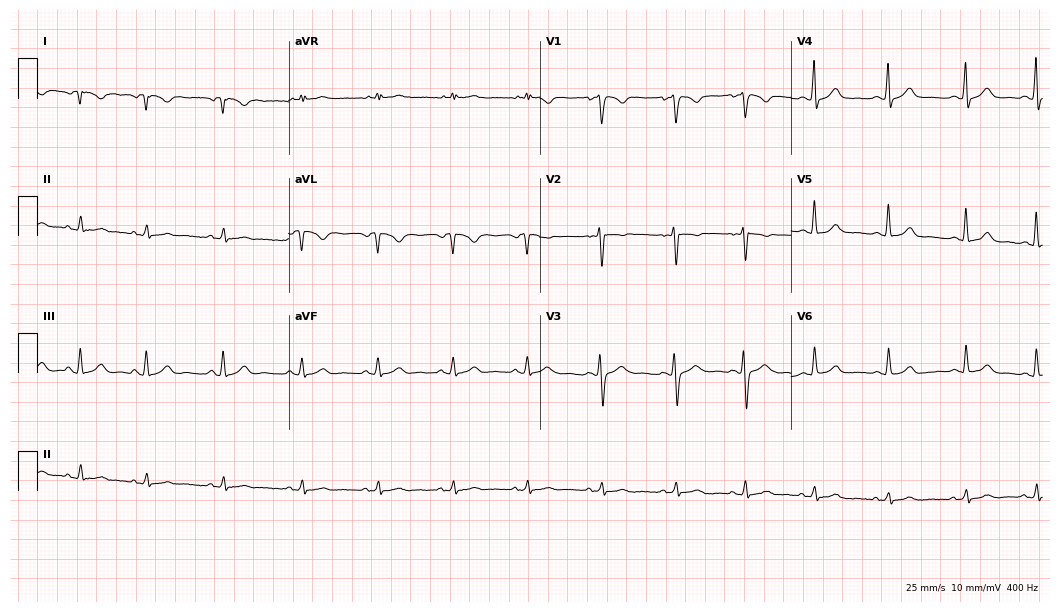
Resting 12-lead electrocardiogram (10.2-second recording at 400 Hz). Patient: a 24-year-old female. None of these six findings is recorded: first-degree AV block, right bundle branch block, left bundle branch block, sinus bradycardia, atrial fibrillation, sinus tachycardia. Only these six findings were labelled.